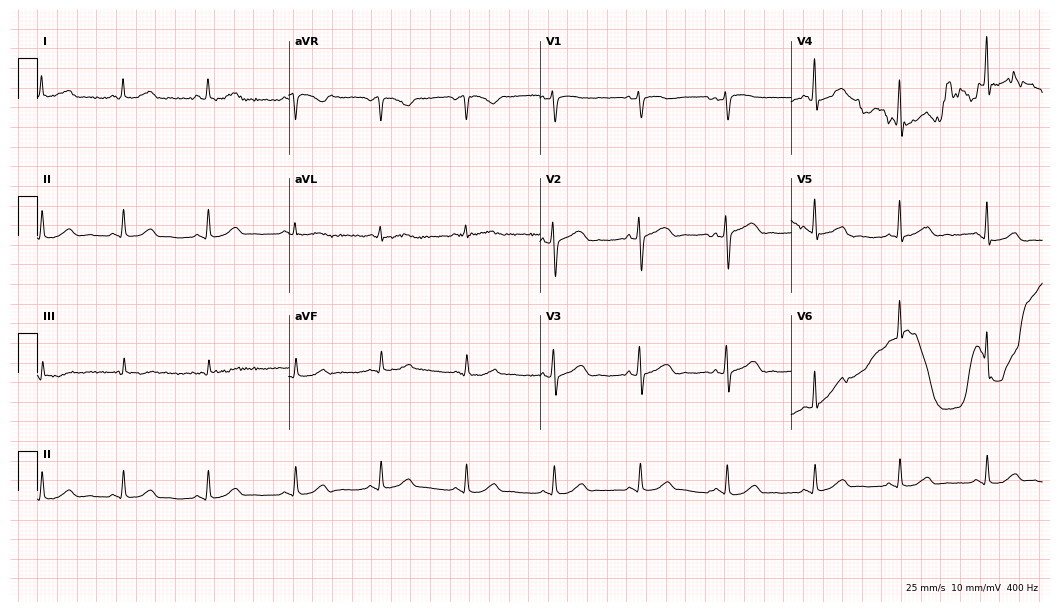
Resting 12-lead electrocardiogram (10.2-second recording at 400 Hz). Patient: a woman, 54 years old. Read as a normal ECG.